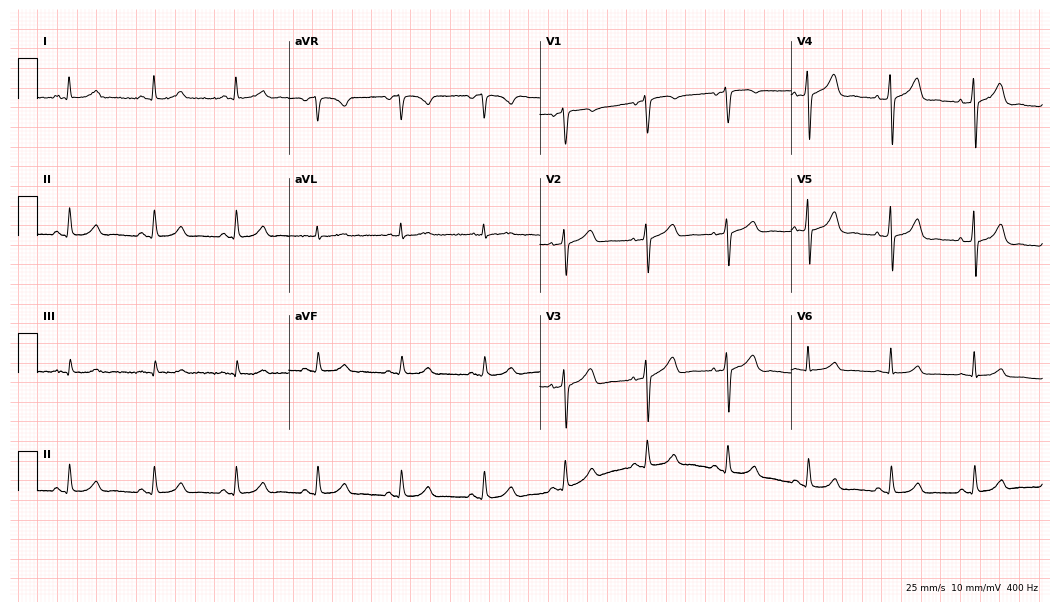
Electrocardiogram (10.2-second recording at 400 Hz), a 54-year-old female patient. Overall reading on record: normal ECG.